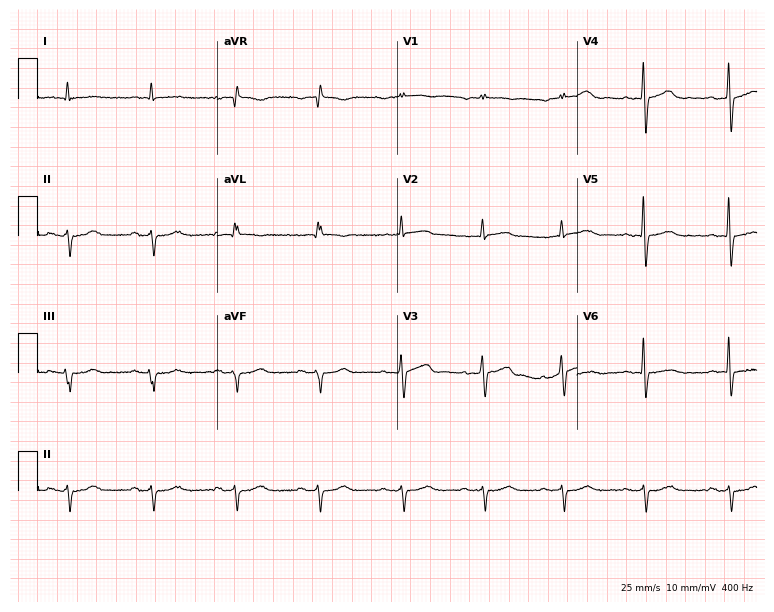
Electrocardiogram (7.3-second recording at 400 Hz), a 77-year-old male patient. Of the six screened findings (first-degree AV block, right bundle branch block (RBBB), left bundle branch block (LBBB), sinus bradycardia, atrial fibrillation (AF), sinus tachycardia), none is recorded.